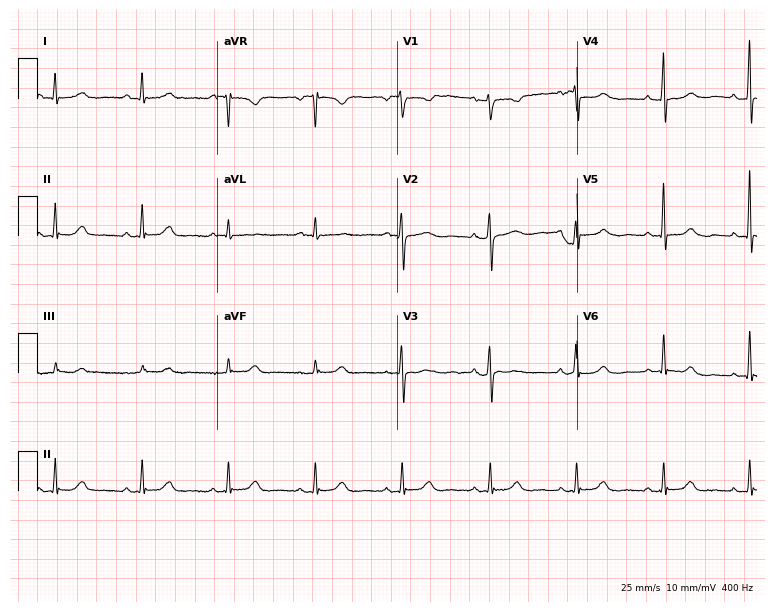
Standard 12-lead ECG recorded from a 61-year-old female patient. Read as a normal ECG.